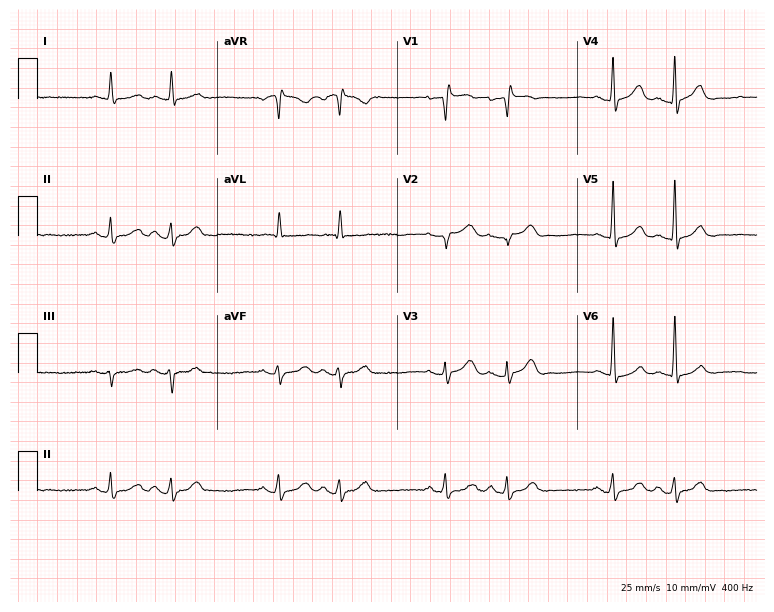
Electrocardiogram, a male, 80 years old. Of the six screened findings (first-degree AV block, right bundle branch block (RBBB), left bundle branch block (LBBB), sinus bradycardia, atrial fibrillation (AF), sinus tachycardia), none is recorded. Only these six findings were labelled.